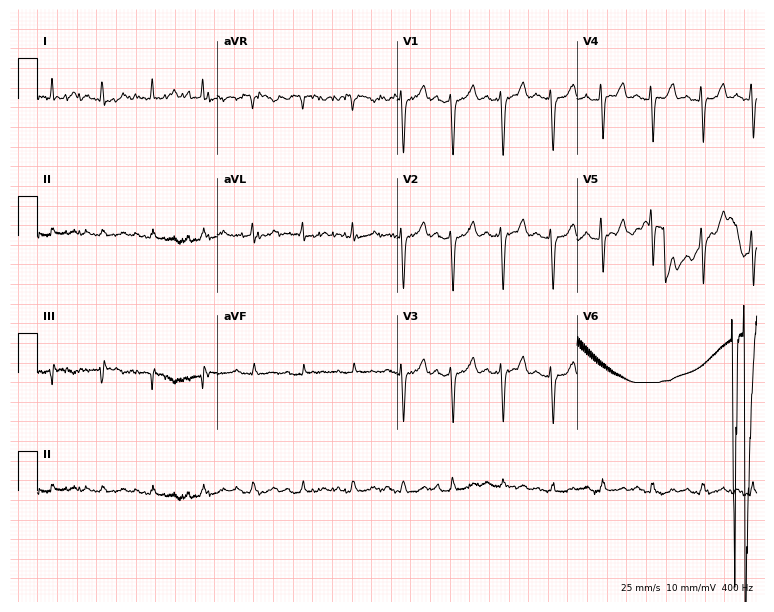
Electrocardiogram, a 76-year-old man. Interpretation includes sinus tachycardia (a sinus rate of 100 beats per minute or more).